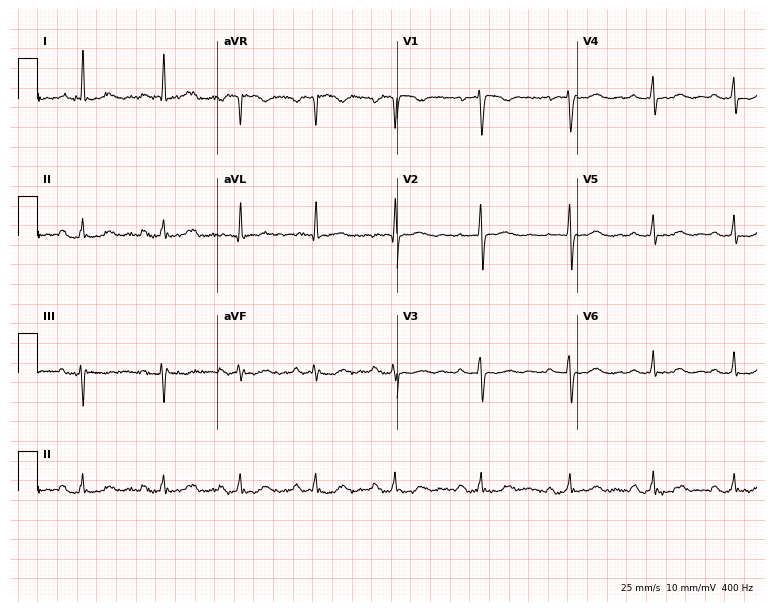
Standard 12-lead ECG recorded from a female patient, 69 years old (7.3-second recording at 400 Hz). None of these six findings is recorded: first-degree AV block, right bundle branch block, left bundle branch block, sinus bradycardia, atrial fibrillation, sinus tachycardia. Findings outside these six are not listed.